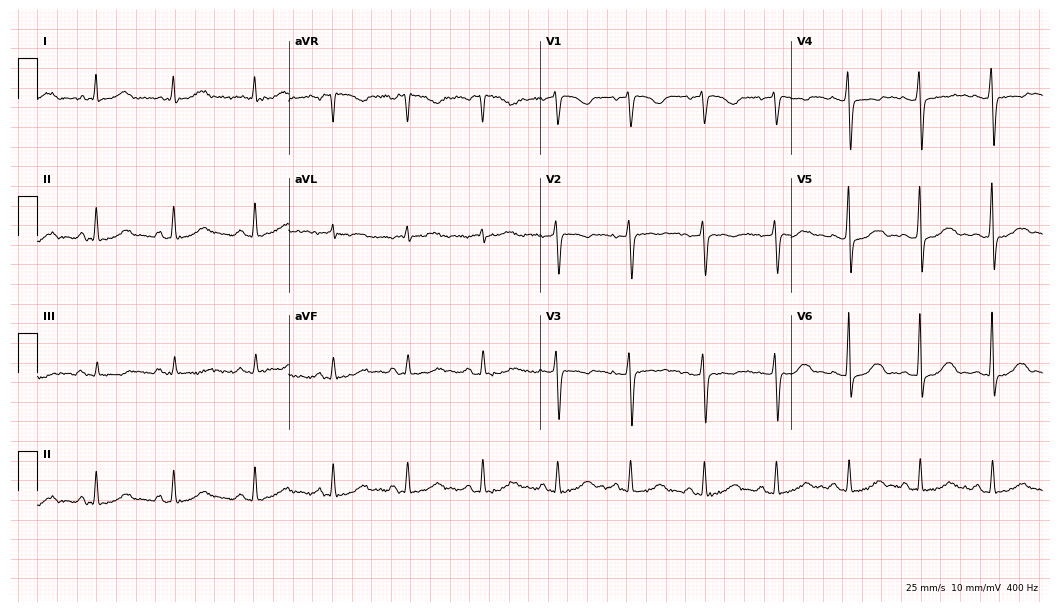
Electrocardiogram (10.2-second recording at 400 Hz), a 49-year-old woman. Overall reading on record: normal ECG.